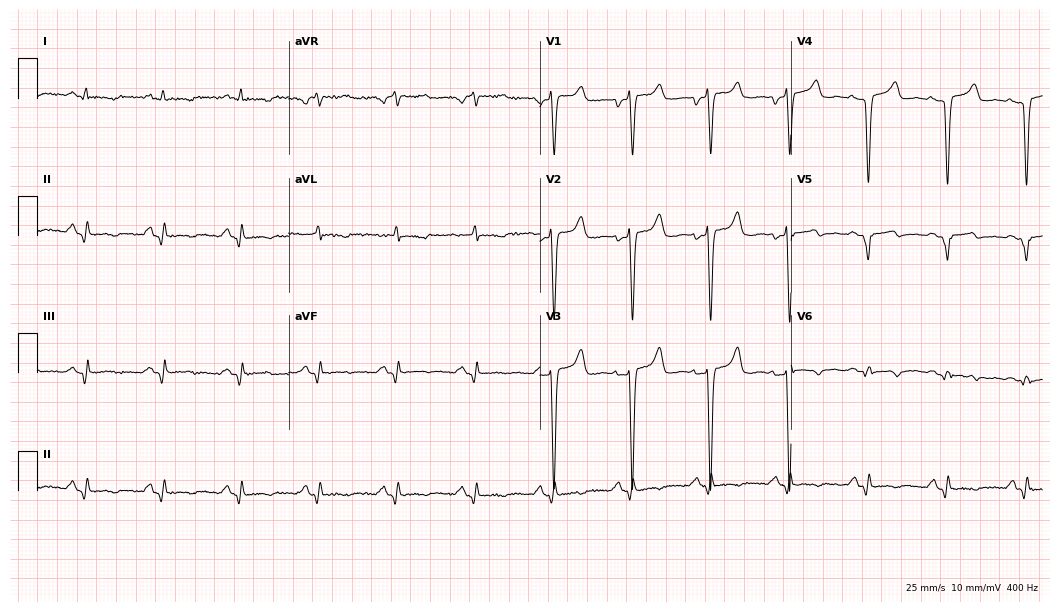
12-lead ECG from a man, 68 years old. No first-degree AV block, right bundle branch block (RBBB), left bundle branch block (LBBB), sinus bradycardia, atrial fibrillation (AF) or sinus tachycardia recorded for this tracing. Findings outside these six are not listed.